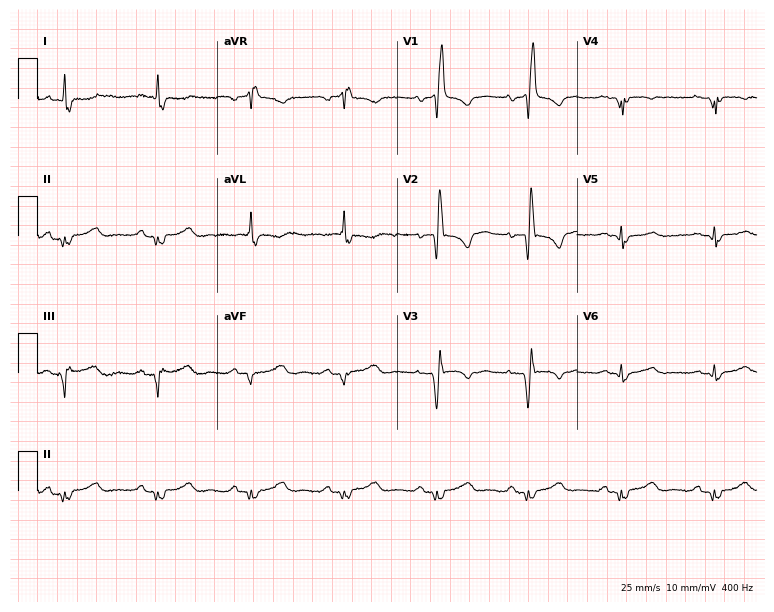
12-lead ECG (7.3-second recording at 400 Hz) from a male, 71 years old. Findings include right bundle branch block (RBBB).